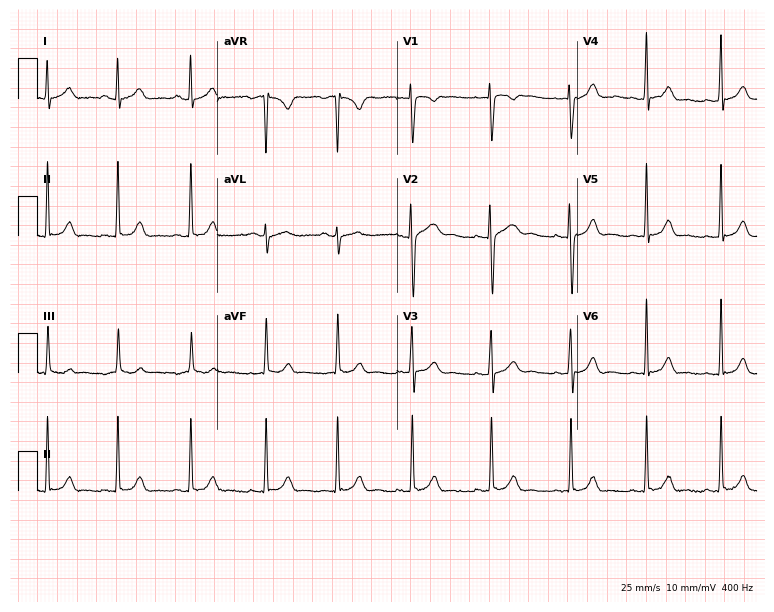
12-lead ECG from a 20-year-old woman. Recorded interpretation: within normal limits.